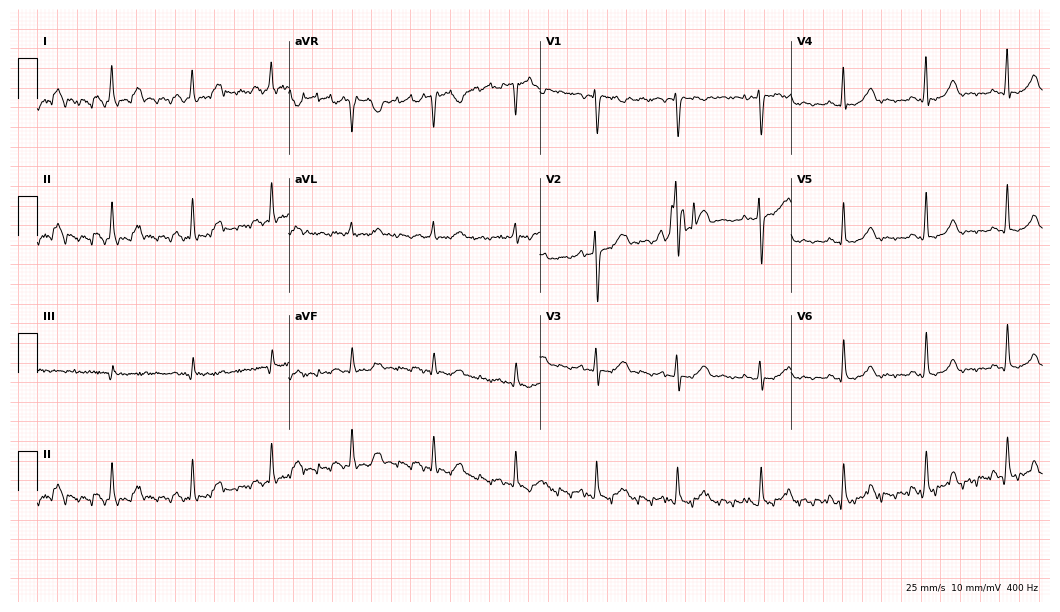
Resting 12-lead electrocardiogram. Patient: a 58-year-old female. Read as a normal ECG.